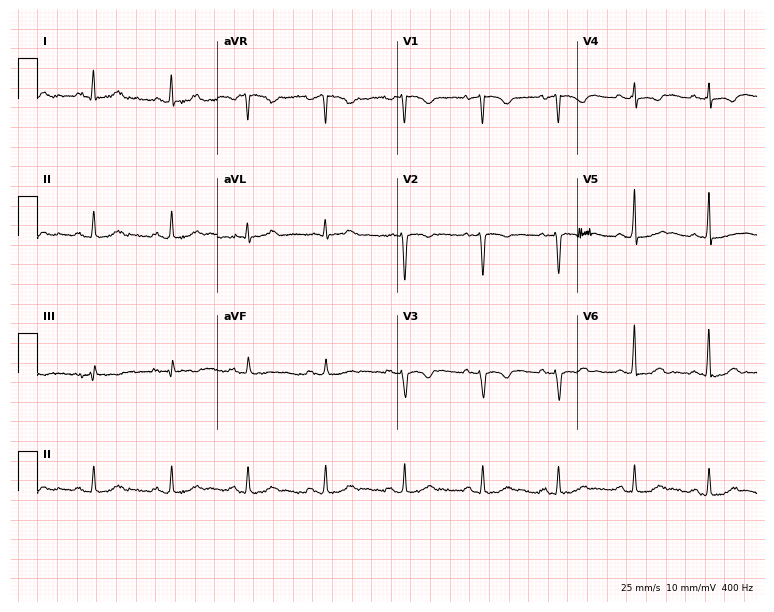
Electrocardiogram, a female patient, 38 years old. Overall reading on record: normal ECG.